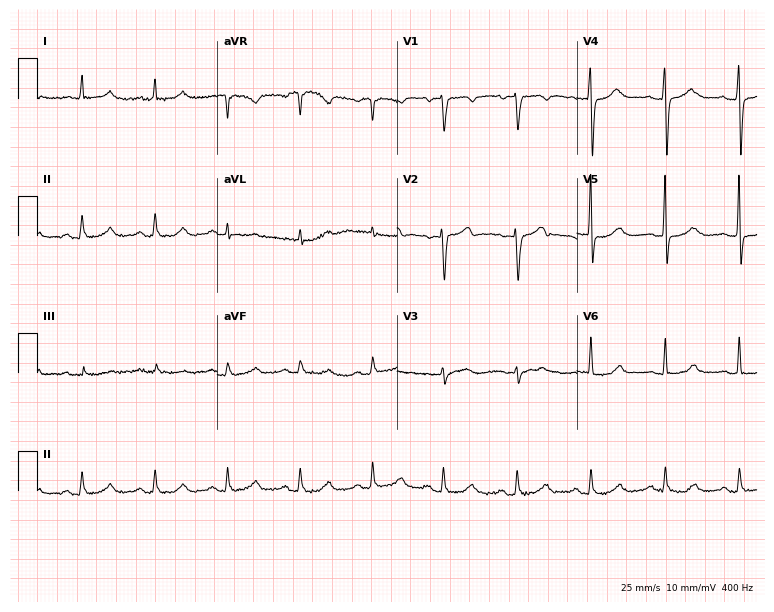
Resting 12-lead electrocardiogram. Patient: a female, 42 years old. Read as a normal ECG.